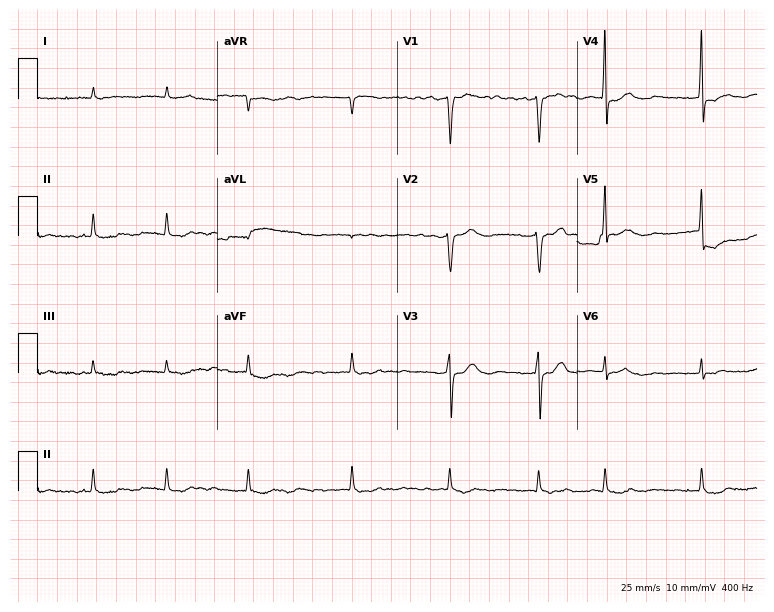
Standard 12-lead ECG recorded from a man, 80 years old. None of these six findings is recorded: first-degree AV block, right bundle branch block (RBBB), left bundle branch block (LBBB), sinus bradycardia, atrial fibrillation (AF), sinus tachycardia. Only these six findings were labelled.